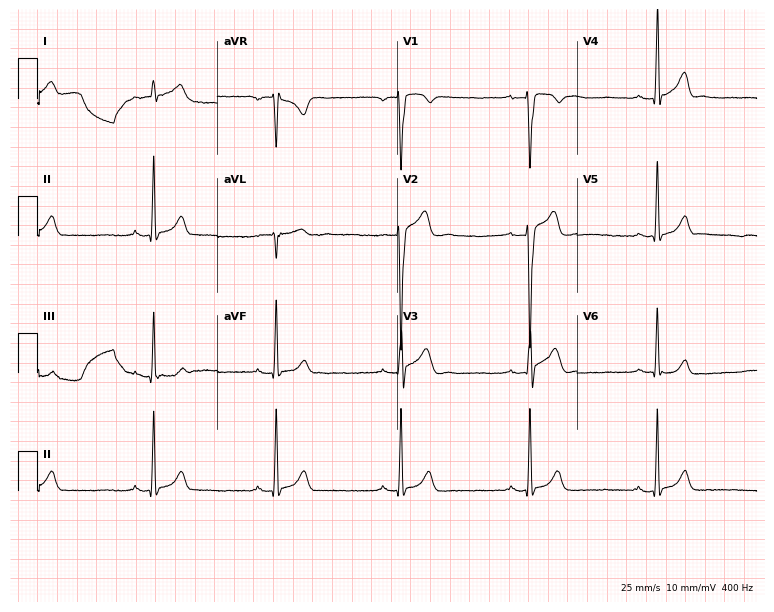
12-lead ECG from a 21-year-old man. Shows sinus bradycardia (a sinus rate of 50 beats per minute or less).